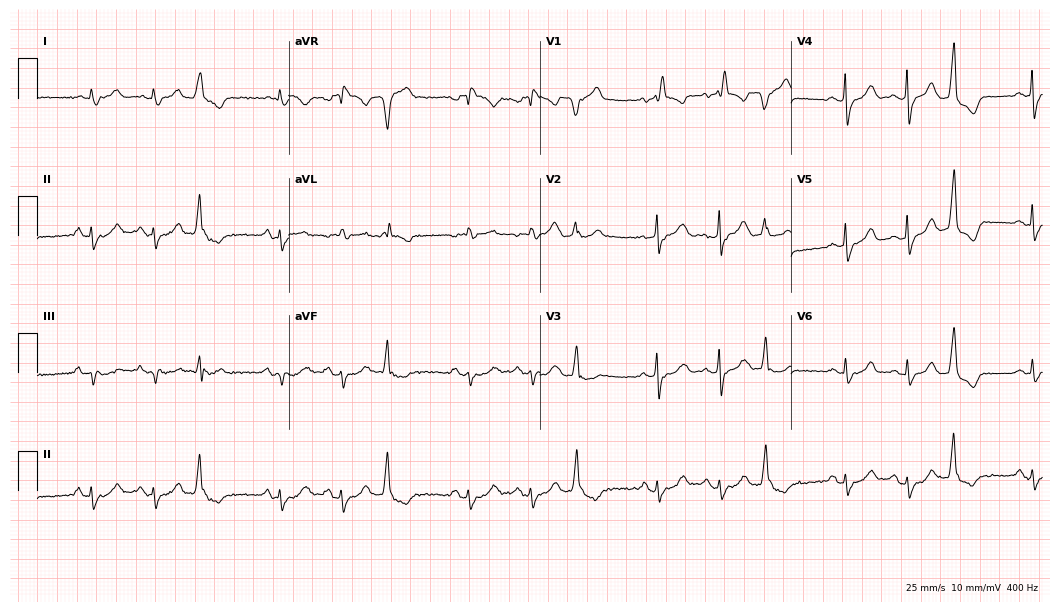
Resting 12-lead electrocardiogram (10.2-second recording at 400 Hz). Patient: a male, 82 years old. The tracing shows right bundle branch block.